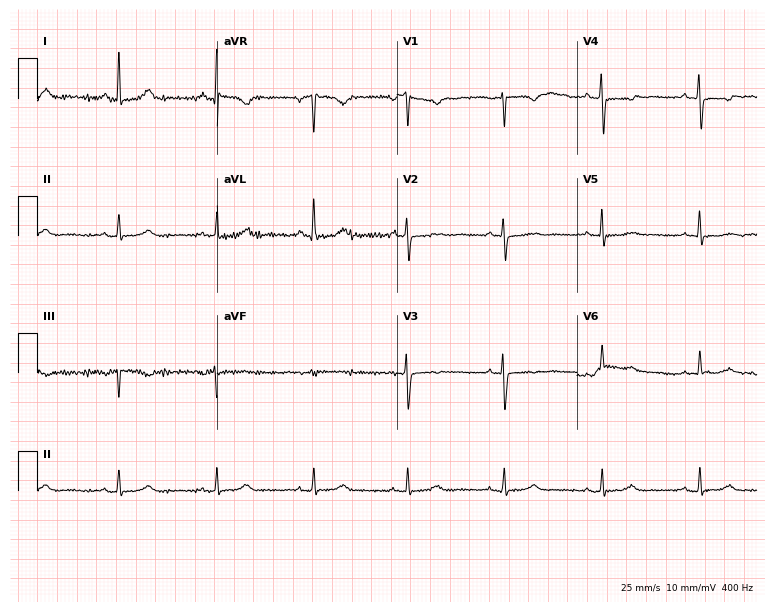
Resting 12-lead electrocardiogram. Patient: a female, 67 years old. None of these six findings is recorded: first-degree AV block, right bundle branch block, left bundle branch block, sinus bradycardia, atrial fibrillation, sinus tachycardia.